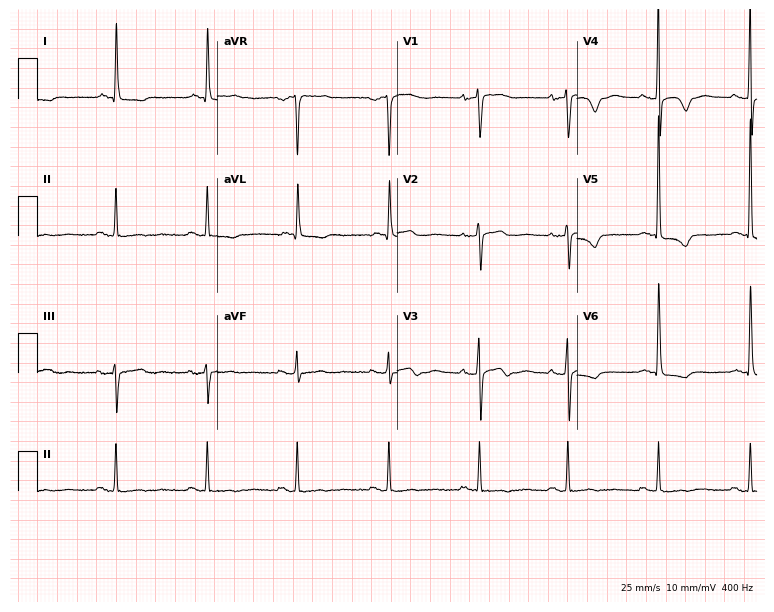
Resting 12-lead electrocardiogram. Patient: a 77-year-old female. None of these six findings is recorded: first-degree AV block, right bundle branch block, left bundle branch block, sinus bradycardia, atrial fibrillation, sinus tachycardia.